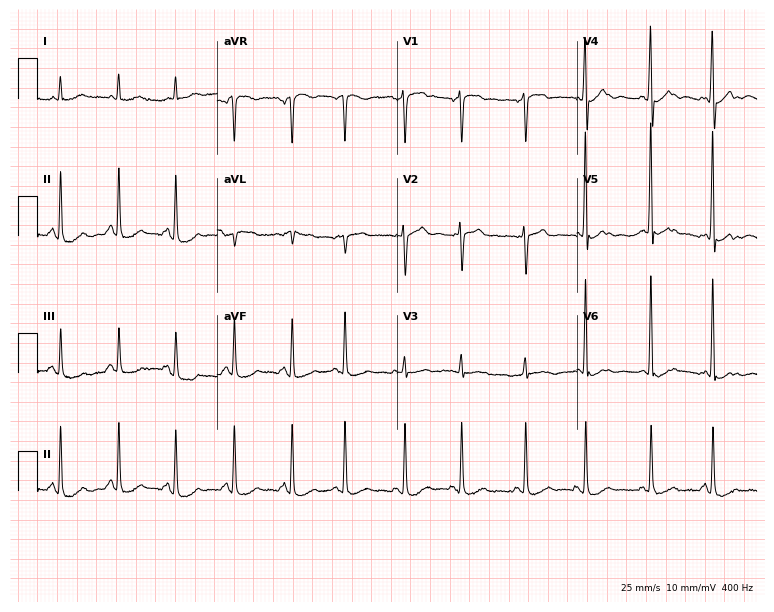
12-lead ECG from a man, 73 years old (7.3-second recording at 400 Hz). No first-degree AV block, right bundle branch block, left bundle branch block, sinus bradycardia, atrial fibrillation or sinus tachycardia recorded for this tracing.